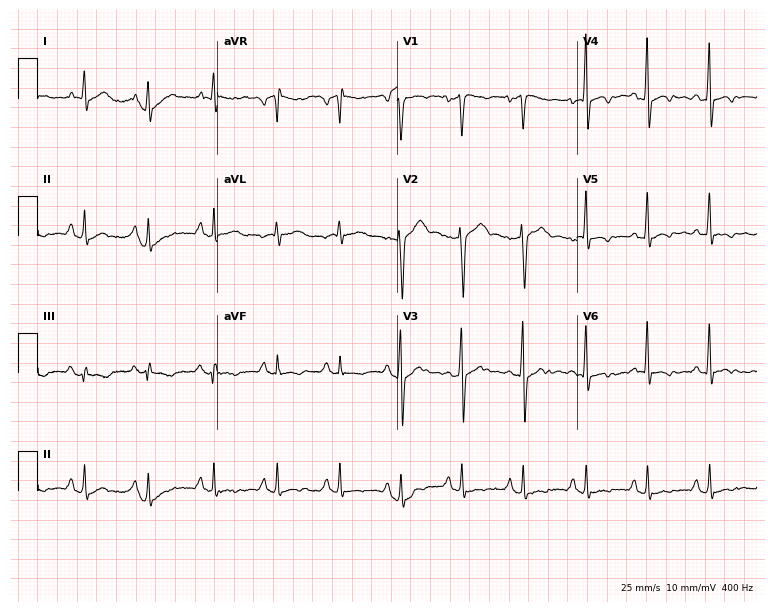
ECG (7.3-second recording at 400 Hz) — a male, 42 years old. Screened for six findings — first-degree AV block, right bundle branch block (RBBB), left bundle branch block (LBBB), sinus bradycardia, atrial fibrillation (AF), sinus tachycardia — none is recorded. Other findings, if any, are not listed.